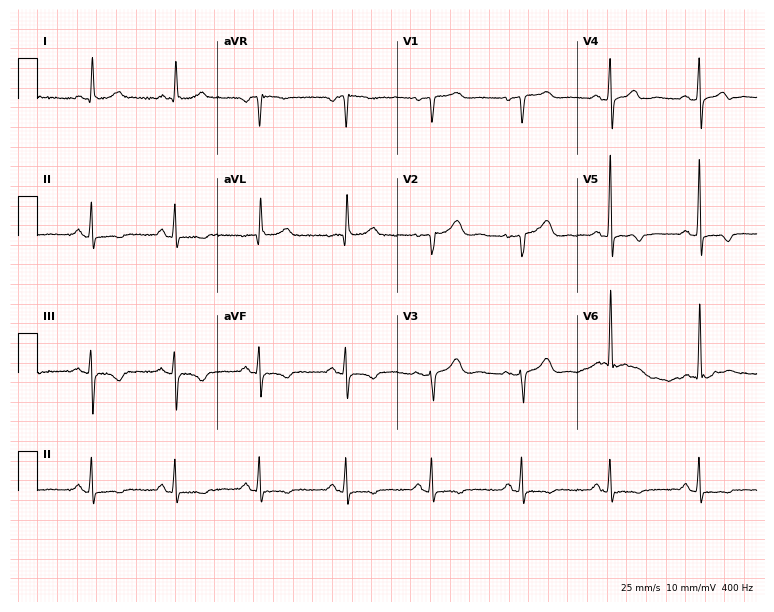
Resting 12-lead electrocardiogram (7.3-second recording at 400 Hz). Patient: an 82-year-old female. None of these six findings is recorded: first-degree AV block, right bundle branch block, left bundle branch block, sinus bradycardia, atrial fibrillation, sinus tachycardia. Other findings, if any, are not listed.